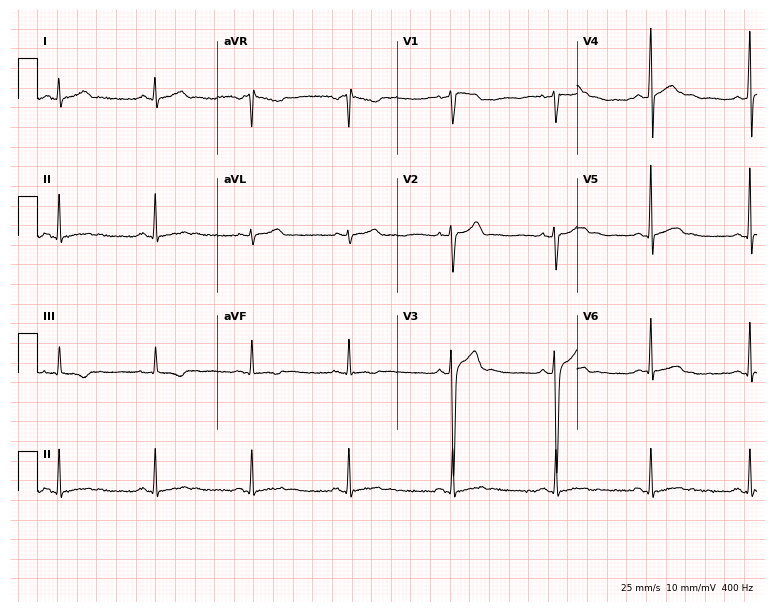
Electrocardiogram (7.3-second recording at 400 Hz), an 18-year-old male. Overall reading on record: normal ECG.